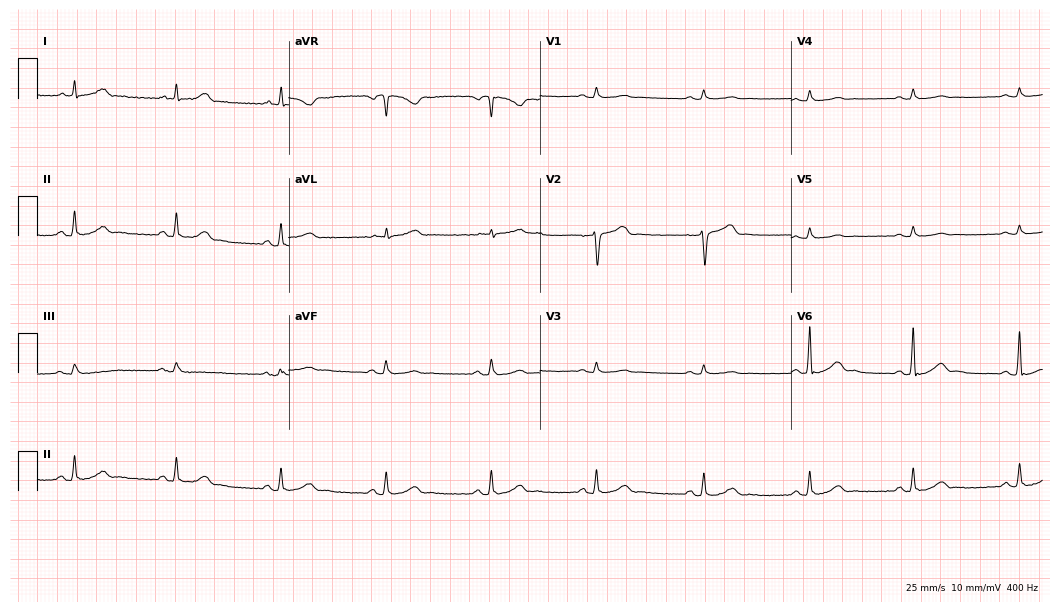
Electrocardiogram, a 56-year-old male. Overall reading on record: normal ECG.